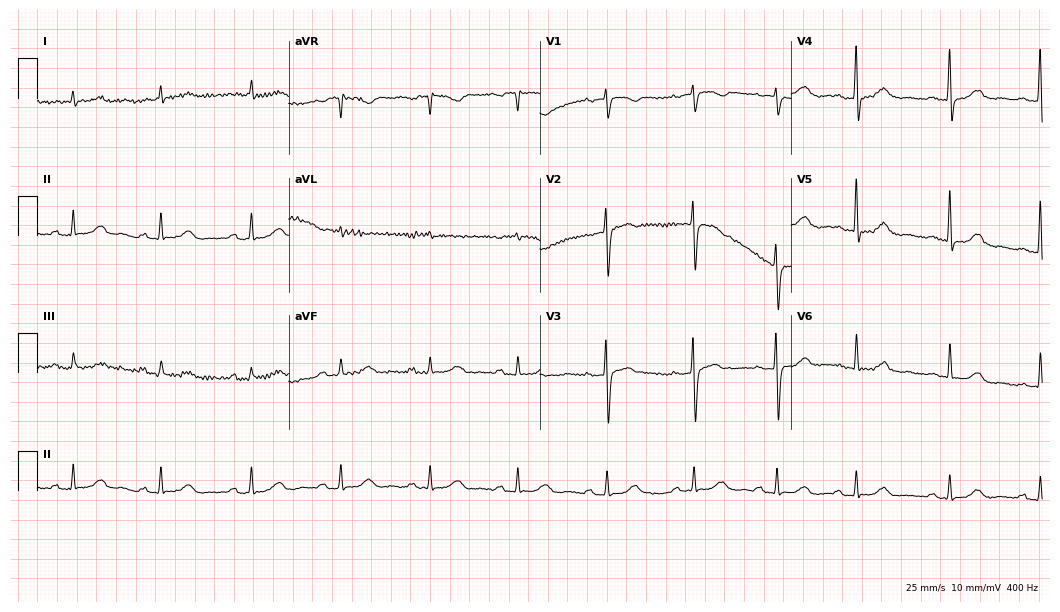
12-lead ECG from a woman, 81 years old. No first-degree AV block, right bundle branch block (RBBB), left bundle branch block (LBBB), sinus bradycardia, atrial fibrillation (AF) or sinus tachycardia recorded for this tracing.